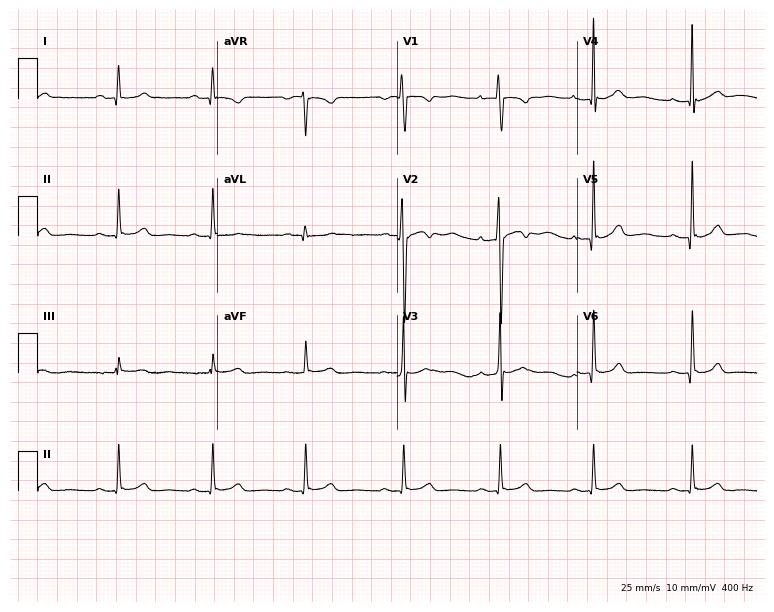
Resting 12-lead electrocardiogram. Patient: a male, 17 years old. None of these six findings is recorded: first-degree AV block, right bundle branch block, left bundle branch block, sinus bradycardia, atrial fibrillation, sinus tachycardia. Other findings, if any, are not listed.